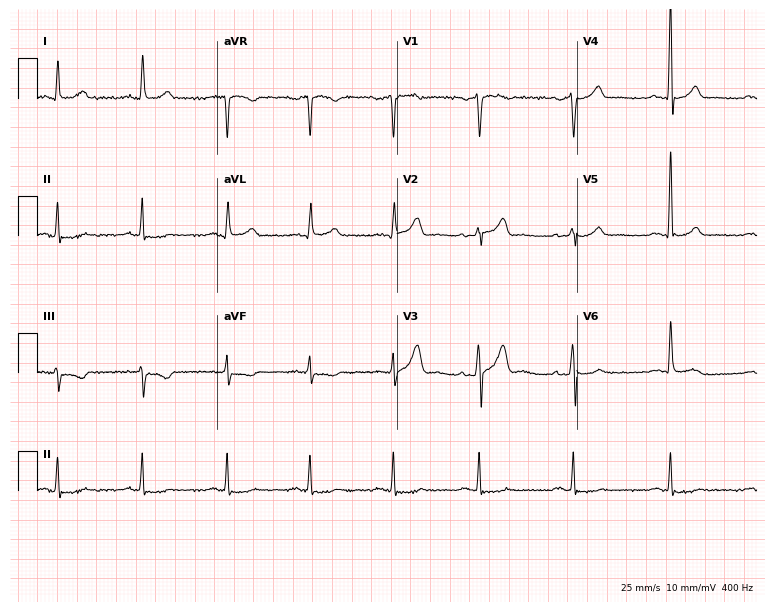
12-lead ECG from a male patient, 56 years old (7.3-second recording at 400 Hz). No first-degree AV block, right bundle branch block (RBBB), left bundle branch block (LBBB), sinus bradycardia, atrial fibrillation (AF) or sinus tachycardia recorded for this tracing. Only these six findings were labelled.